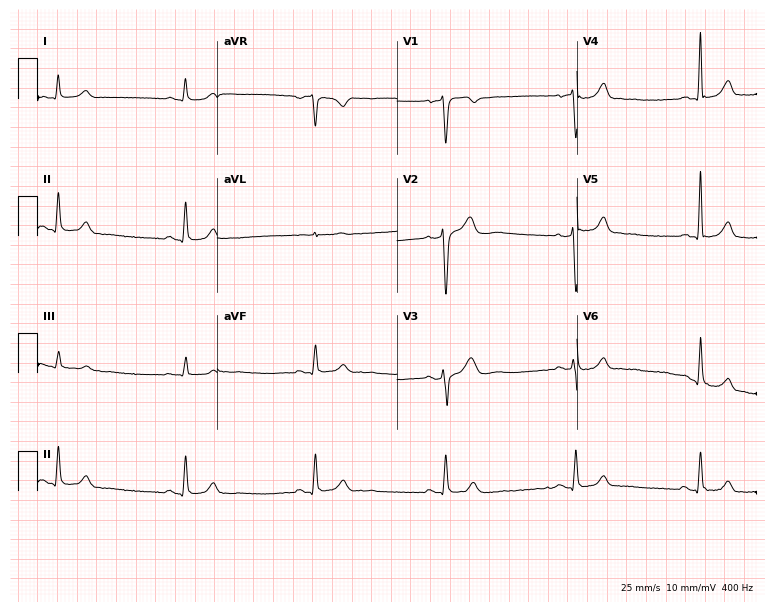
Resting 12-lead electrocardiogram (7.3-second recording at 400 Hz). Patient: a male, 65 years old. The tracing shows sinus bradycardia (a sinus rate of 50 beats per minute or less).